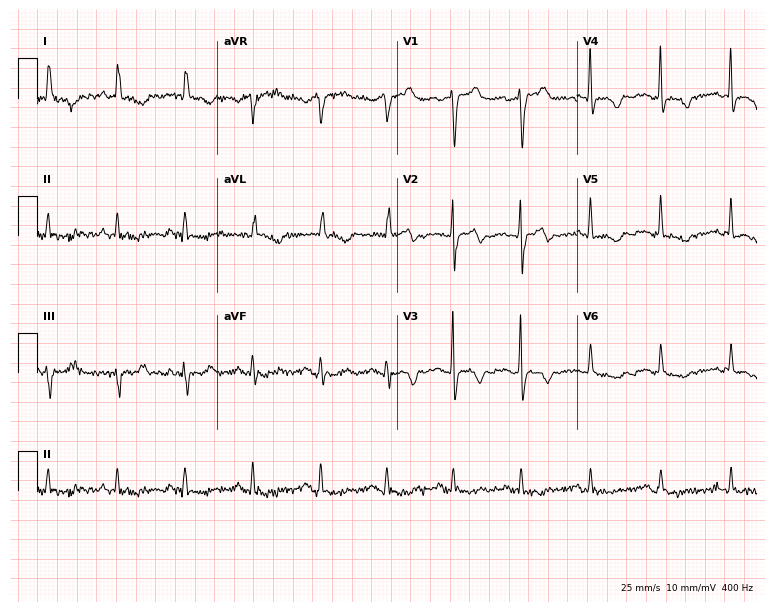
Electrocardiogram, a female, 74 years old. Overall reading on record: normal ECG.